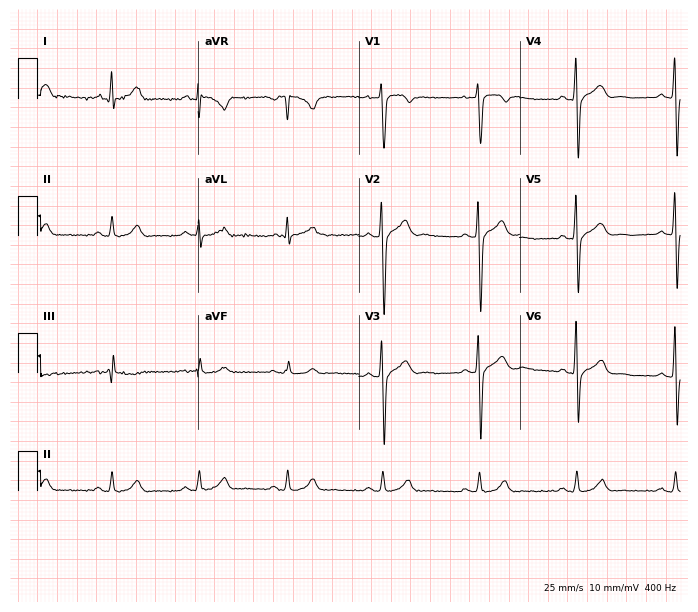
ECG — a male patient, 33 years old. Screened for six findings — first-degree AV block, right bundle branch block, left bundle branch block, sinus bradycardia, atrial fibrillation, sinus tachycardia — none is recorded.